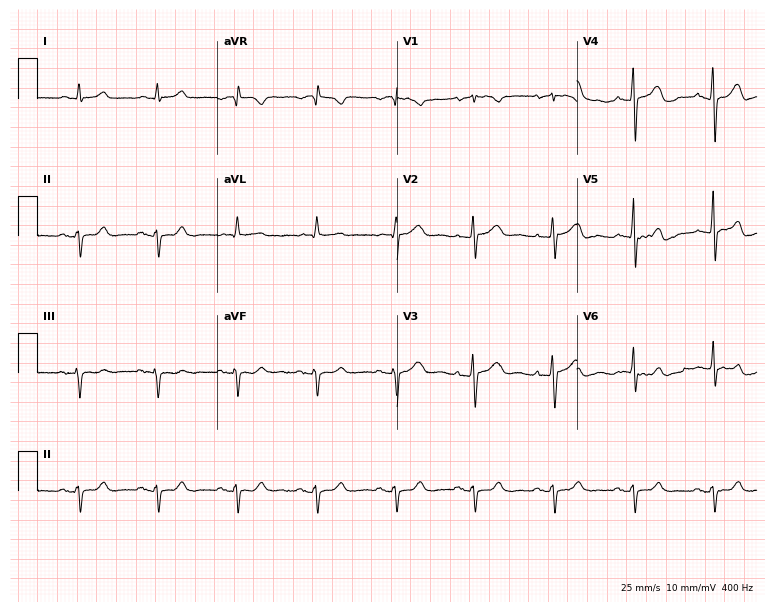
12-lead ECG from a male, 85 years old (7.3-second recording at 400 Hz). No first-degree AV block, right bundle branch block, left bundle branch block, sinus bradycardia, atrial fibrillation or sinus tachycardia recorded for this tracing.